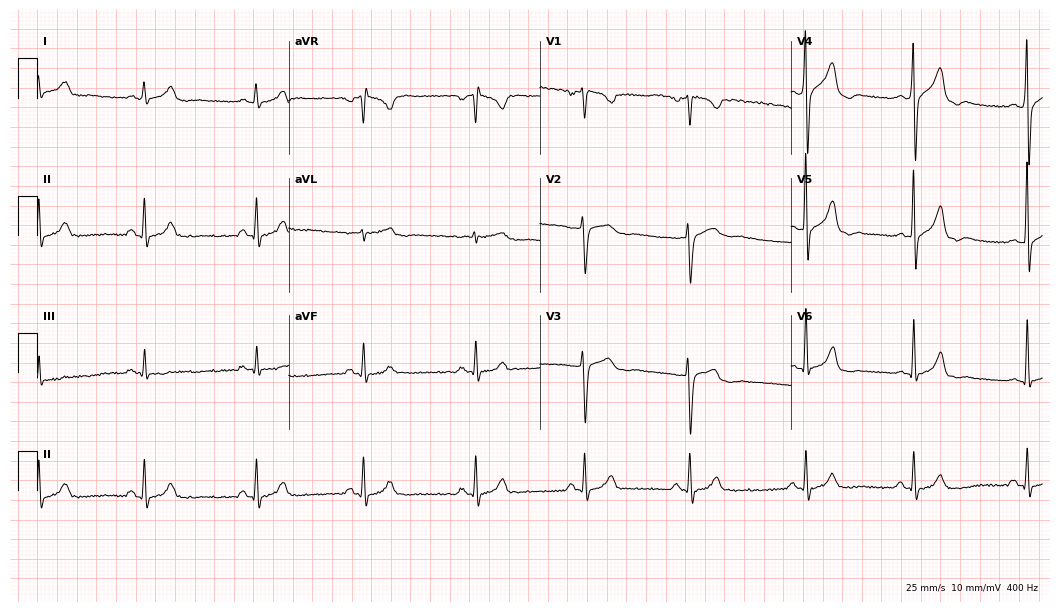
Electrocardiogram (10.2-second recording at 400 Hz), a male, 25 years old. Of the six screened findings (first-degree AV block, right bundle branch block, left bundle branch block, sinus bradycardia, atrial fibrillation, sinus tachycardia), none is recorded. Other findings, if any, are not listed.